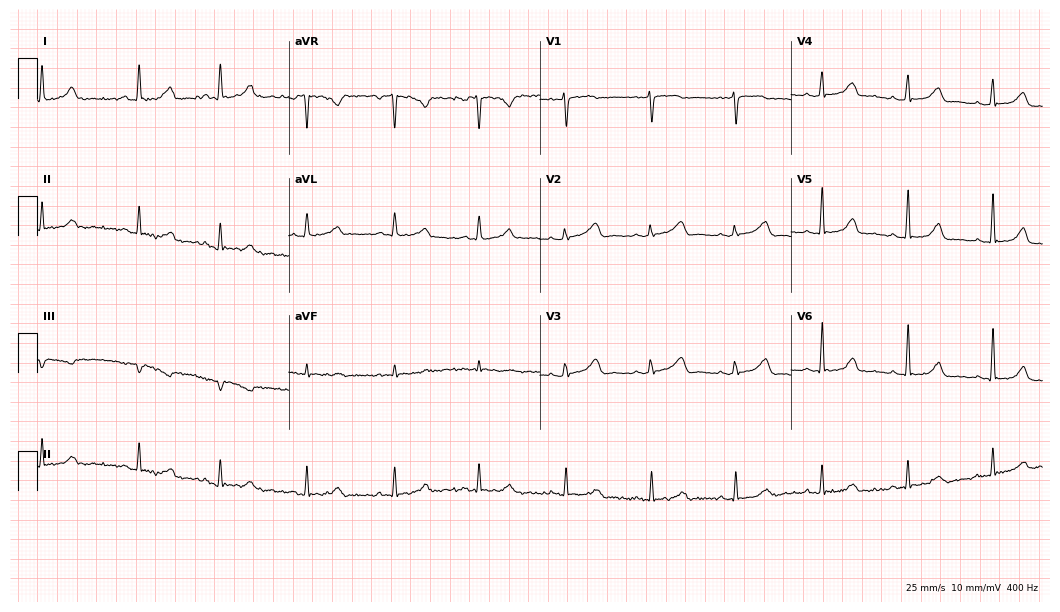
Electrocardiogram, a 47-year-old female. Overall reading on record: normal ECG.